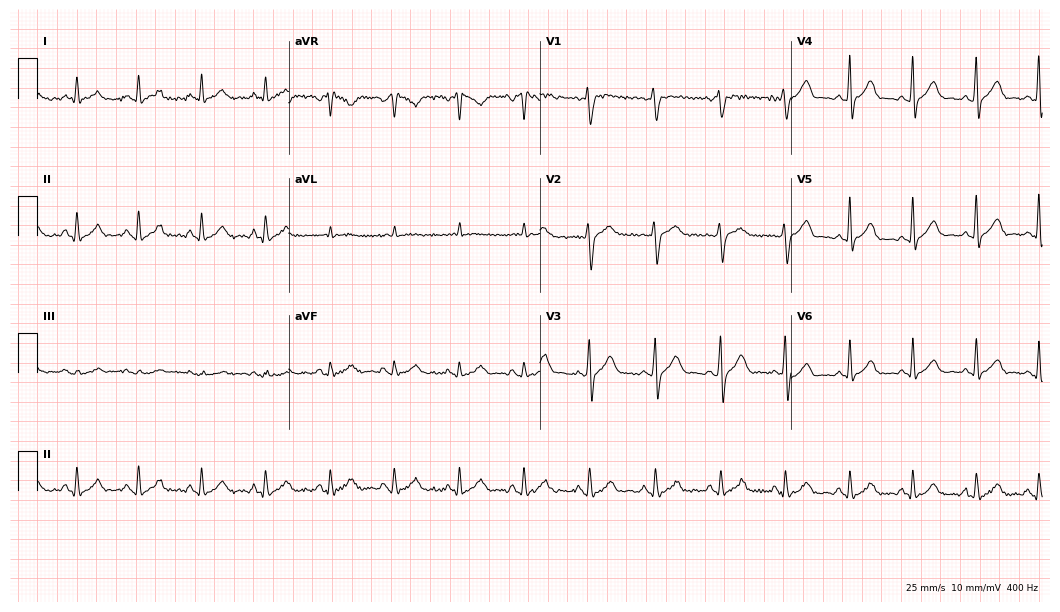
Electrocardiogram, a 25-year-old male. Overall reading on record: normal ECG.